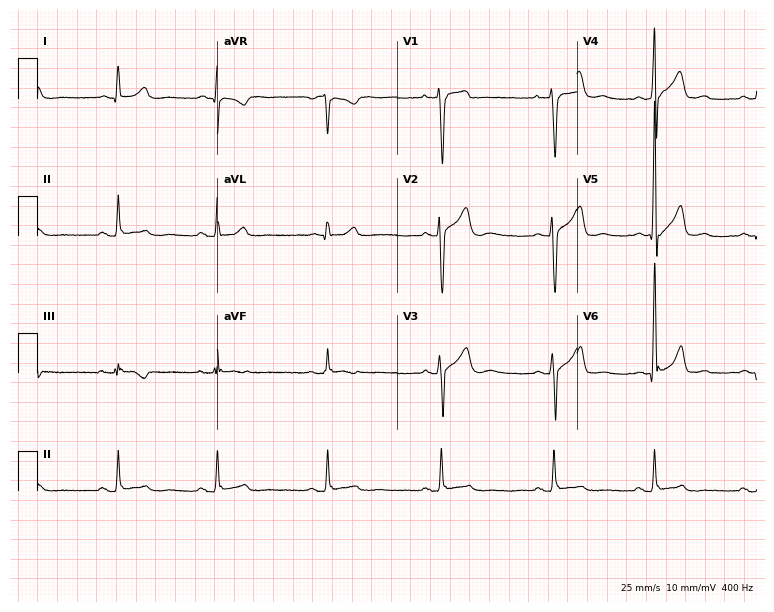
ECG (7.3-second recording at 400 Hz) — a 26-year-old male. Labelled as a normal ECG.